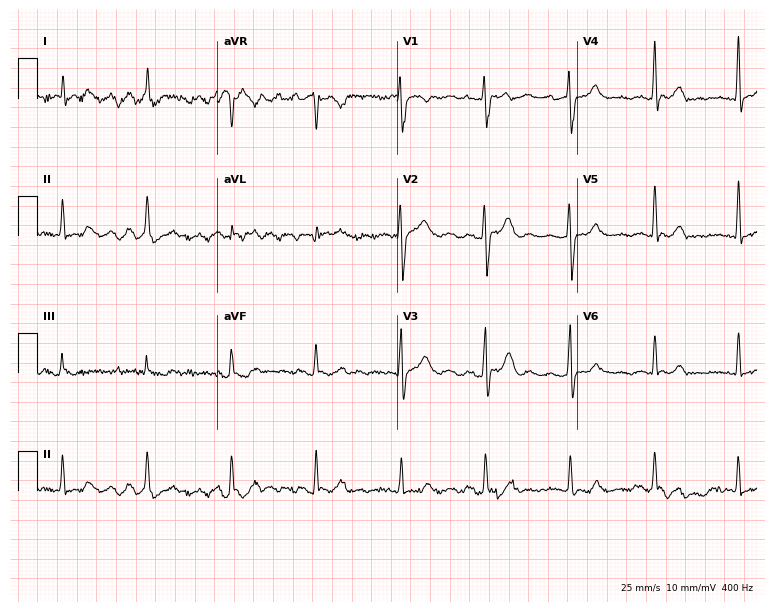
12-lead ECG from a man, 75 years old. Recorded interpretation: within normal limits.